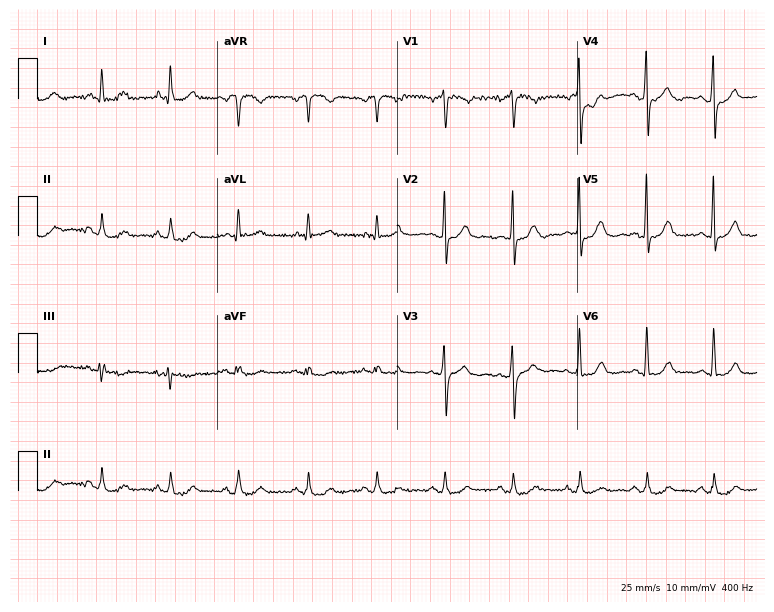
12-lead ECG from a 58-year-old male. Screened for six findings — first-degree AV block, right bundle branch block, left bundle branch block, sinus bradycardia, atrial fibrillation, sinus tachycardia — none is recorded.